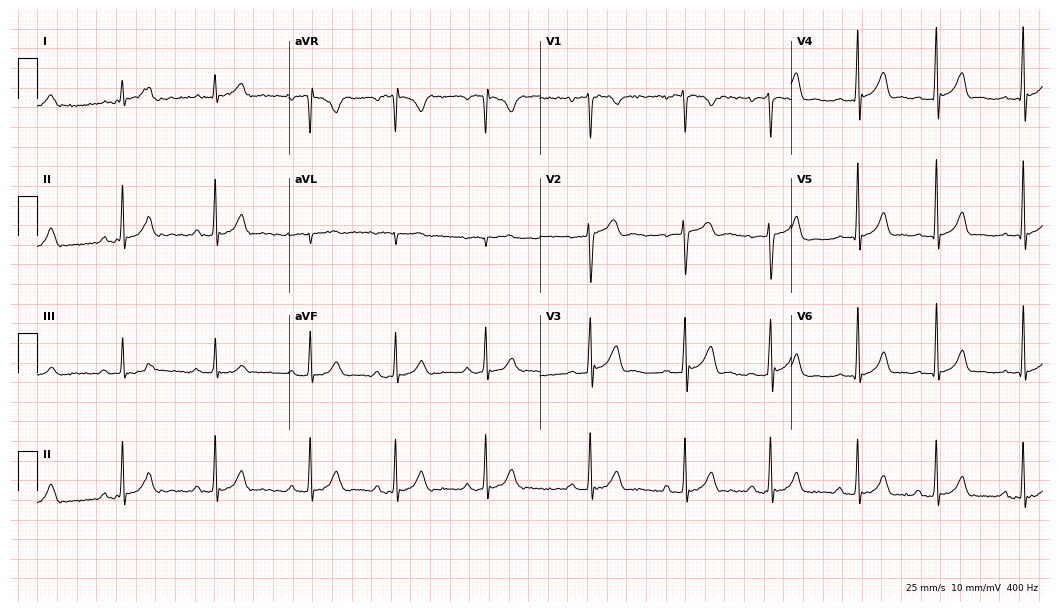
ECG — a male patient, 18 years old. Labelled as a normal ECG.